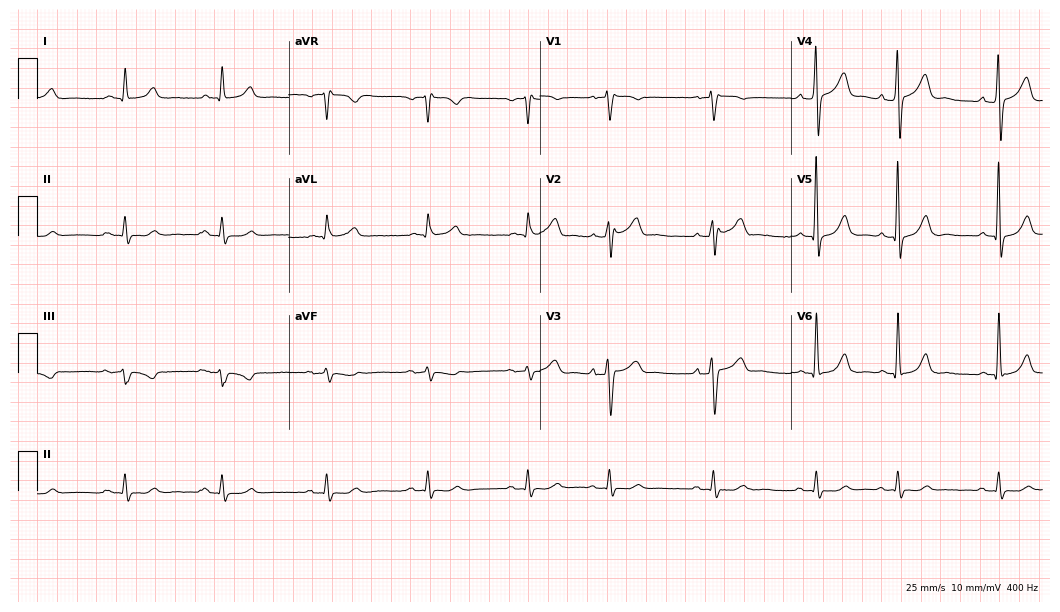
Resting 12-lead electrocardiogram. Patient: an 83-year-old man. None of these six findings is recorded: first-degree AV block, right bundle branch block (RBBB), left bundle branch block (LBBB), sinus bradycardia, atrial fibrillation (AF), sinus tachycardia.